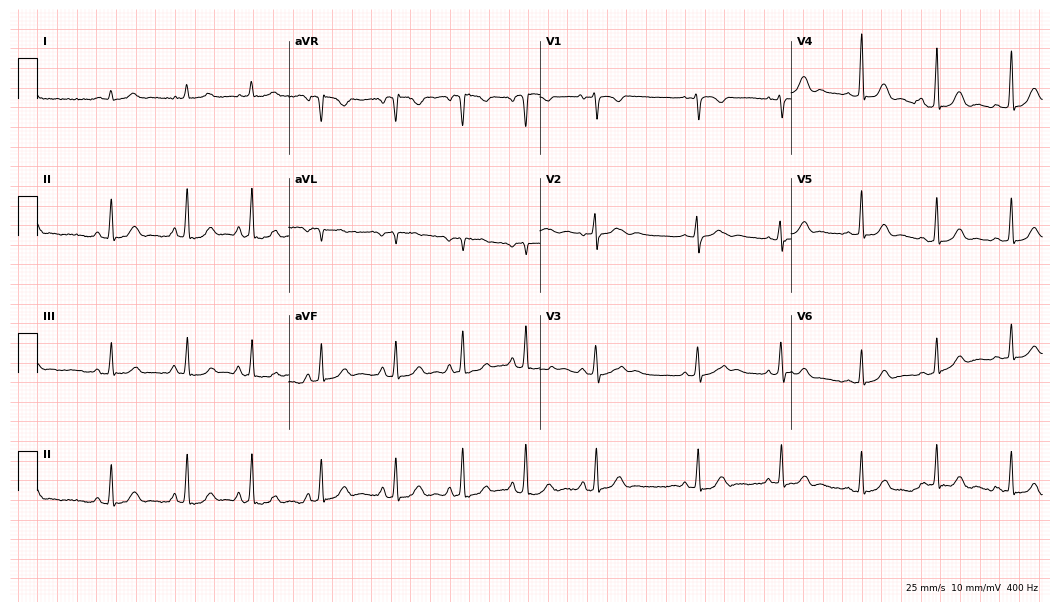
Standard 12-lead ECG recorded from a 26-year-old female (10.2-second recording at 400 Hz). None of these six findings is recorded: first-degree AV block, right bundle branch block (RBBB), left bundle branch block (LBBB), sinus bradycardia, atrial fibrillation (AF), sinus tachycardia.